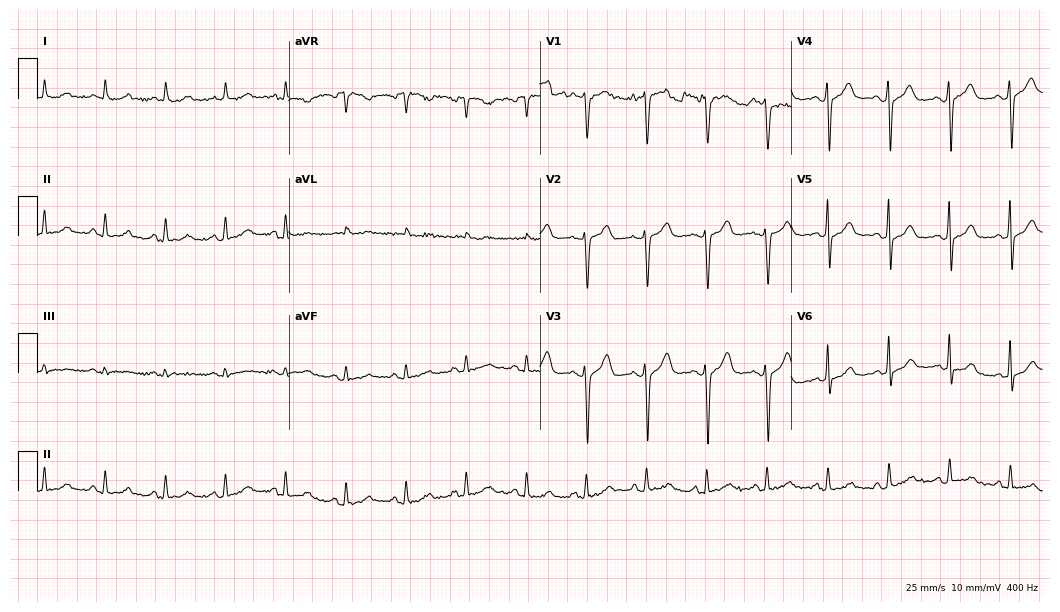
Electrocardiogram, a woman, 85 years old. Overall reading on record: normal ECG.